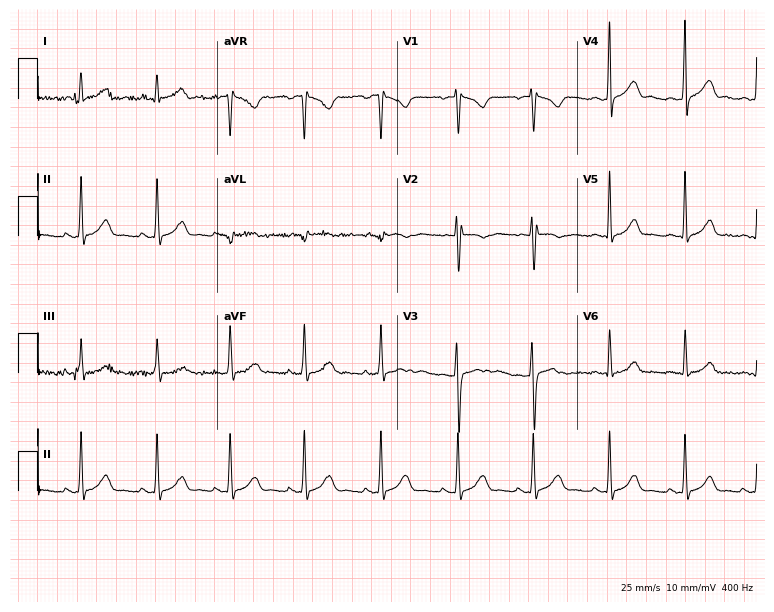
Electrocardiogram, a female, 18 years old. Of the six screened findings (first-degree AV block, right bundle branch block (RBBB), left bundle branch block (LBBB), sinus bradycardia, atrial fibrillation (AF), sinus tachycardia), none is recorded.